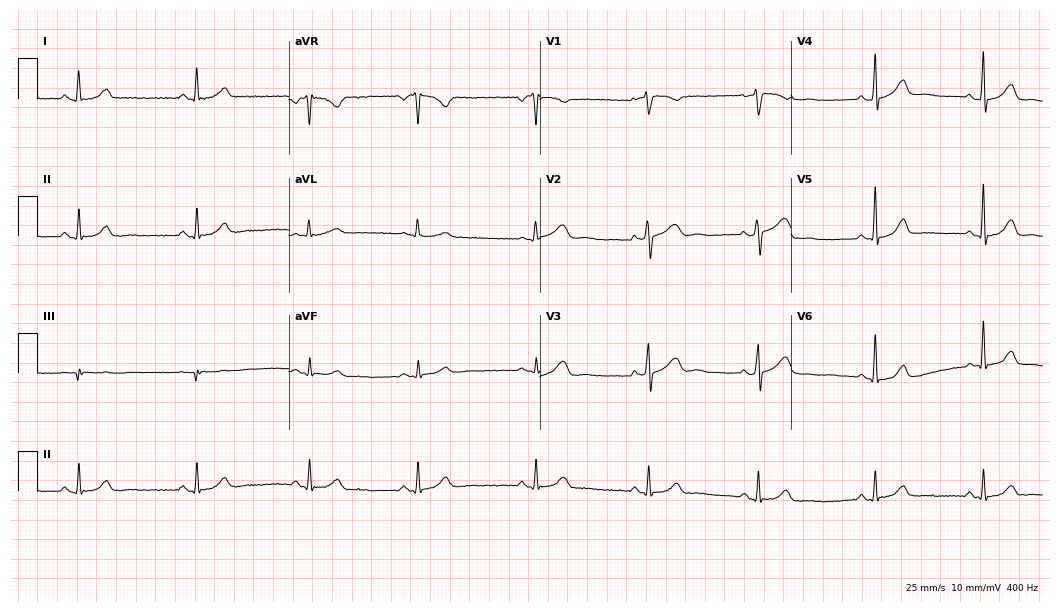
Electrocardiogram, a female, 45 years old. Overall reading on record: normal ECG.